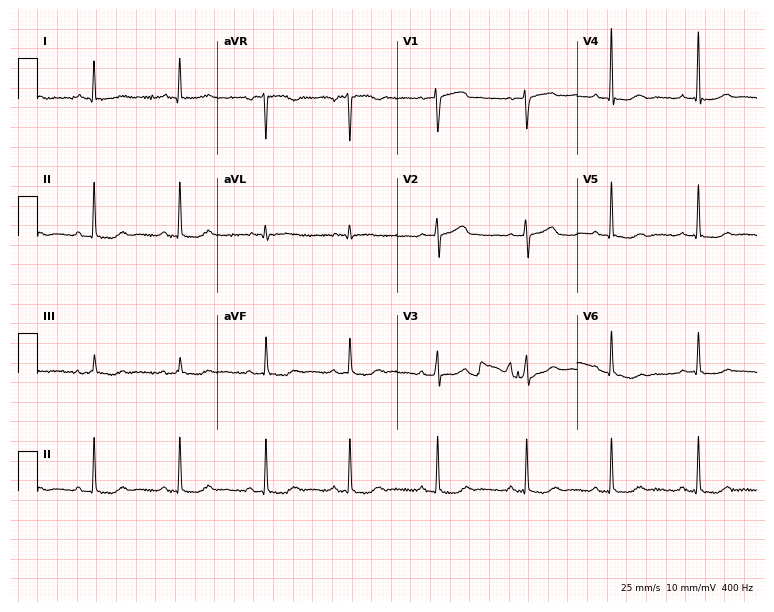
Resting 12-lead electrocardiogram. Patient: a 59-year-old female. Read as a normal ECG.